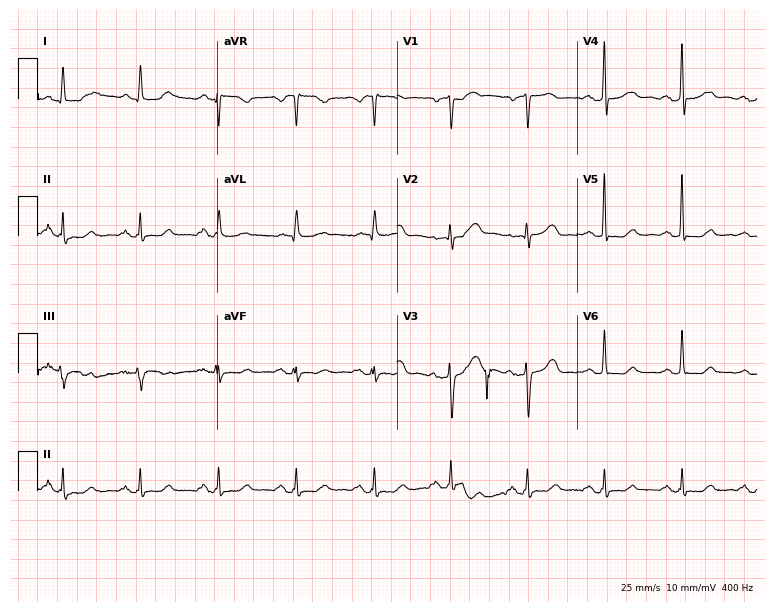
Standard 12-lead ECG recorded from a female patient, 63 years old. Read as a normal ECG.